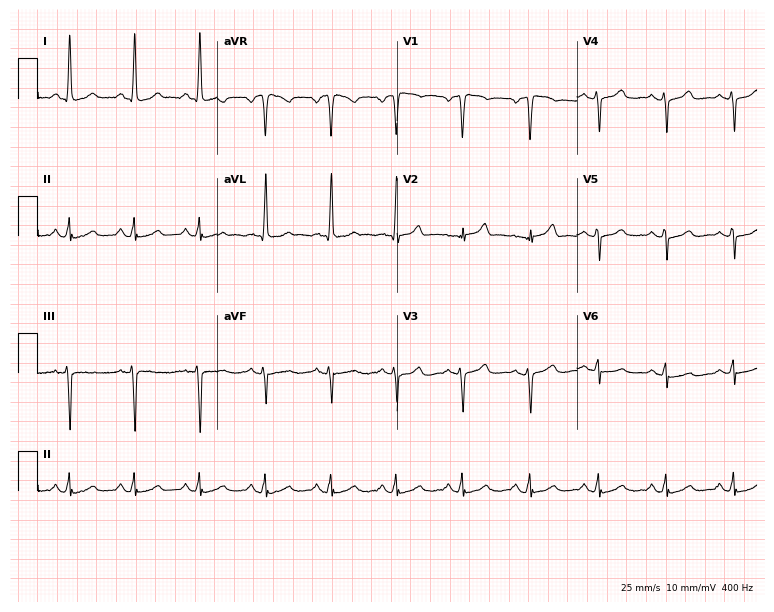
12-lead ECG from a female patient, 48 years old. Screened for six findings — first-degree AV block, right bundle branch block, left bundle branch block, sinus bradycardia, atrial fibrillation, sinus tachycardia — none is recorded. Findings outside these six are not listed.